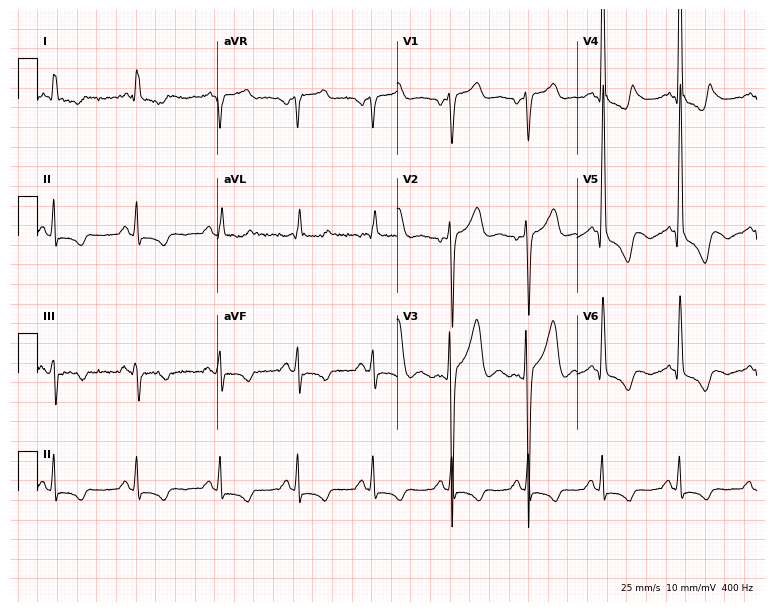
Standard 12-lead ECG recorded from a man, 54 years old. None of these six findings is recorded: first-degree AV block, right bundle branch block, left bundle branch block, sinus bradycardia, atrial fibrillation, sinus tachycardia.